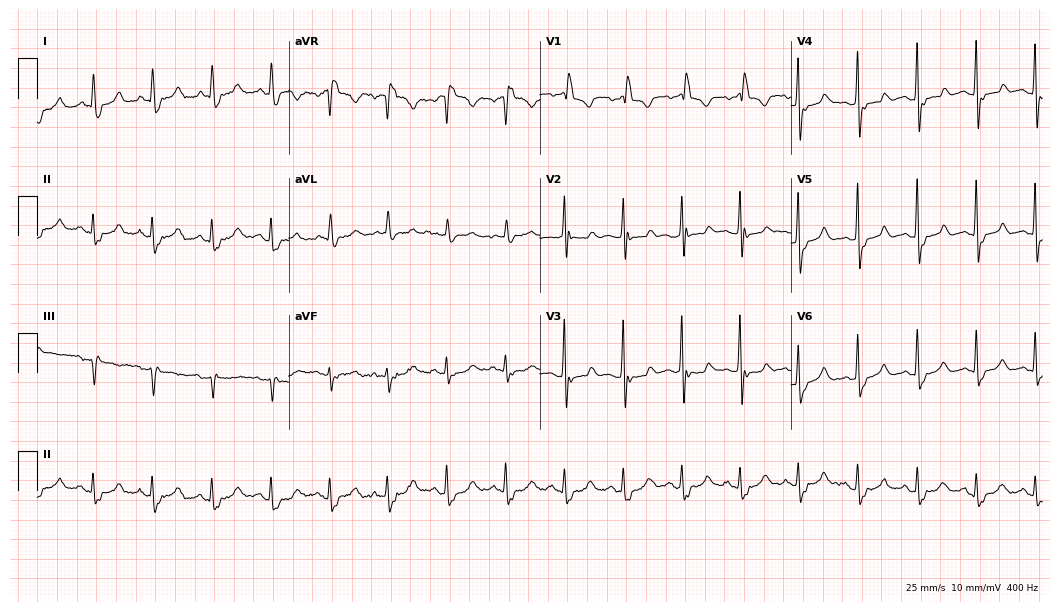
Electrocardiogram, a 77-year-old female patient. Interpretation includes right bundle branch block, sinus tachycardia (a sinus rate of 100 beats per minute or more).